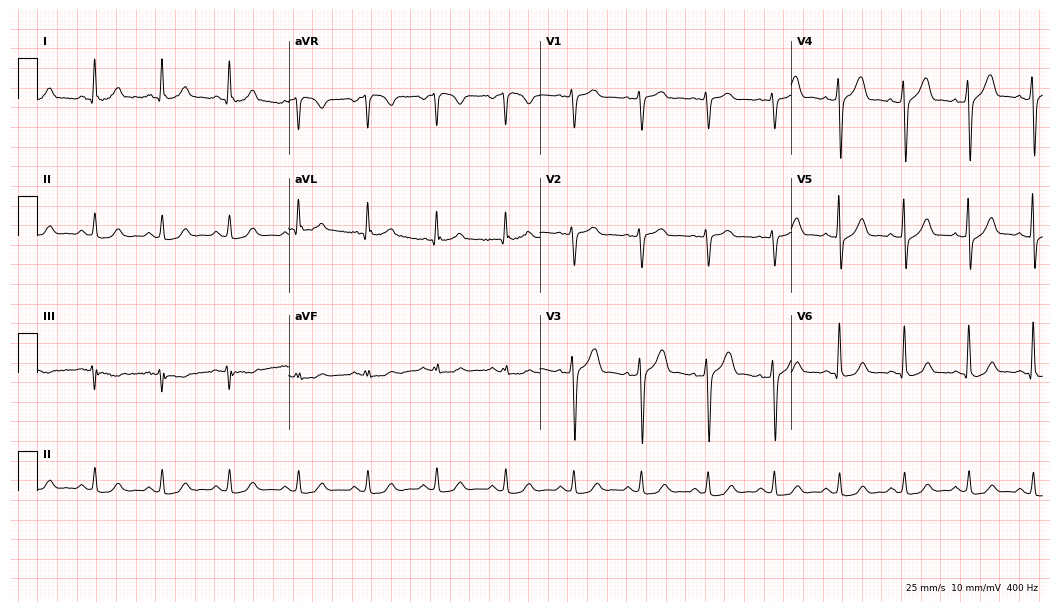
12-lead ECG (10.2-second recording at 400 Hz) from a 58-year-old man. Labelled as a normal ECG.